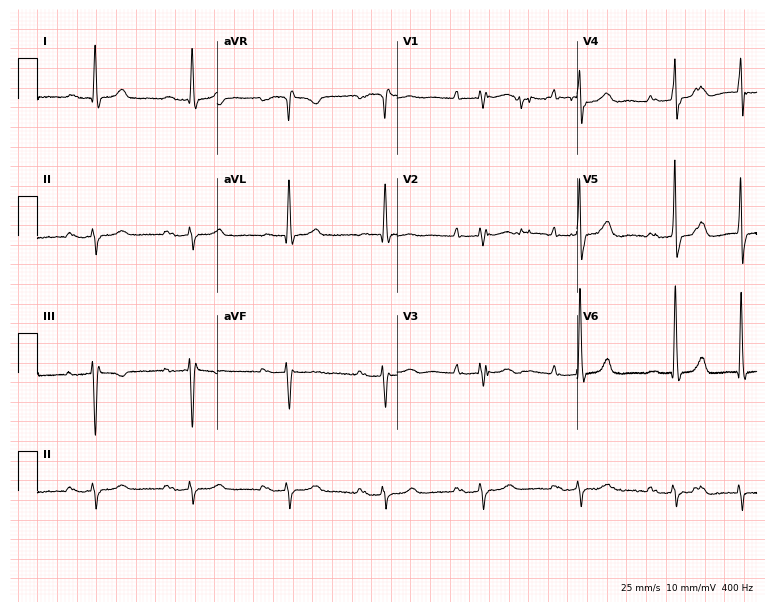
ECG (7.3-second recording at 400 Hz) — an 86-year-old woman. Findings include first-degree AV block.